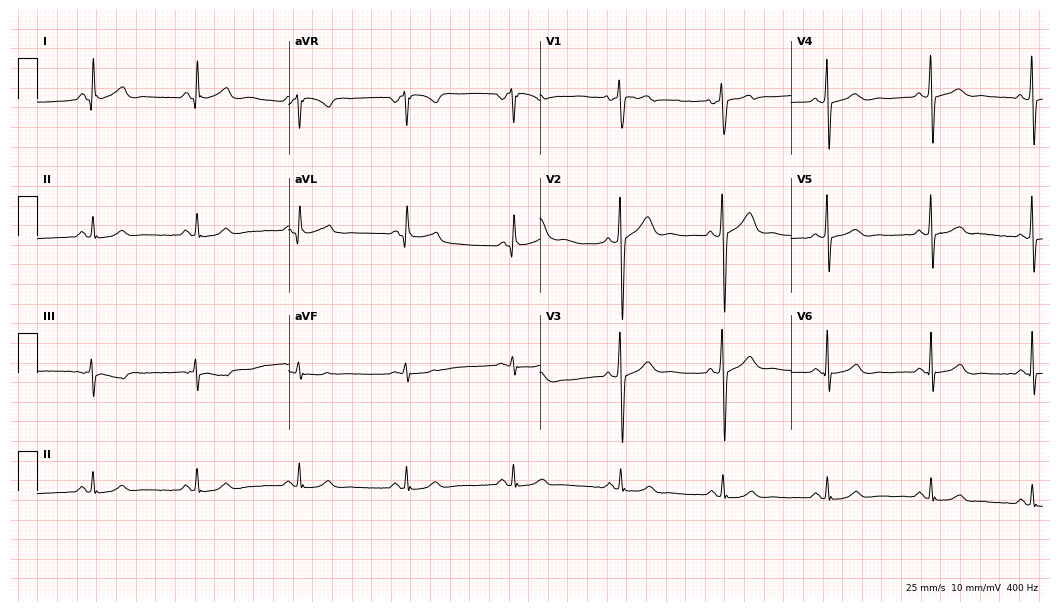
12-lead ECG from a 59-year-old man. No first-degree AV block, right bundle branch block (RBBB), left bundle branch block (LBBB), sinus bradycardia, atrial fibrillation (AF) or sinus tachycardia recorded for this tracing.